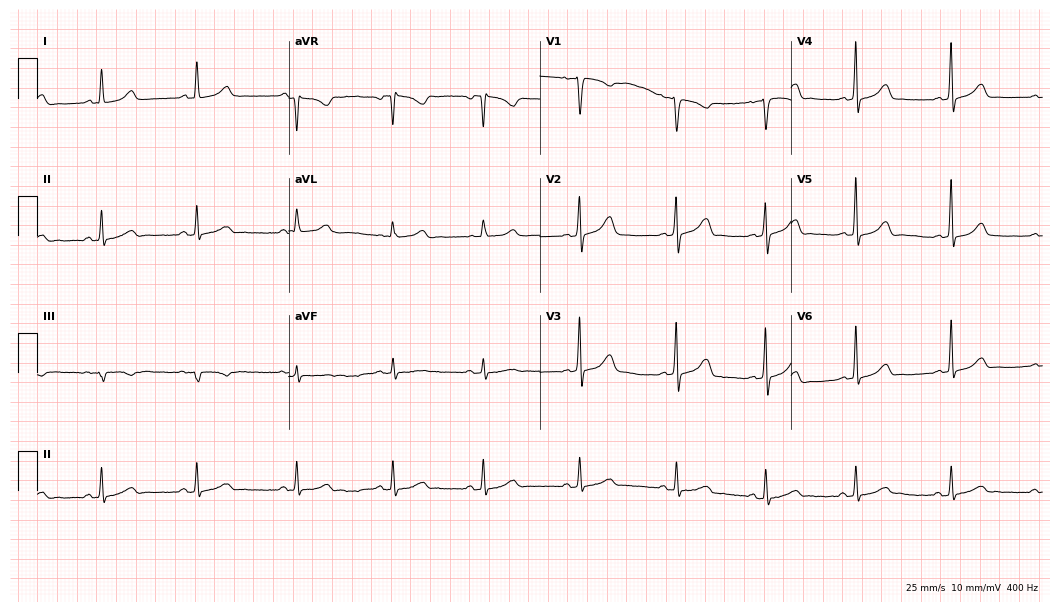
ECG (10.2-second recording at 400 Hz) — a female, 37 years old. Labelled as a normal ECG.